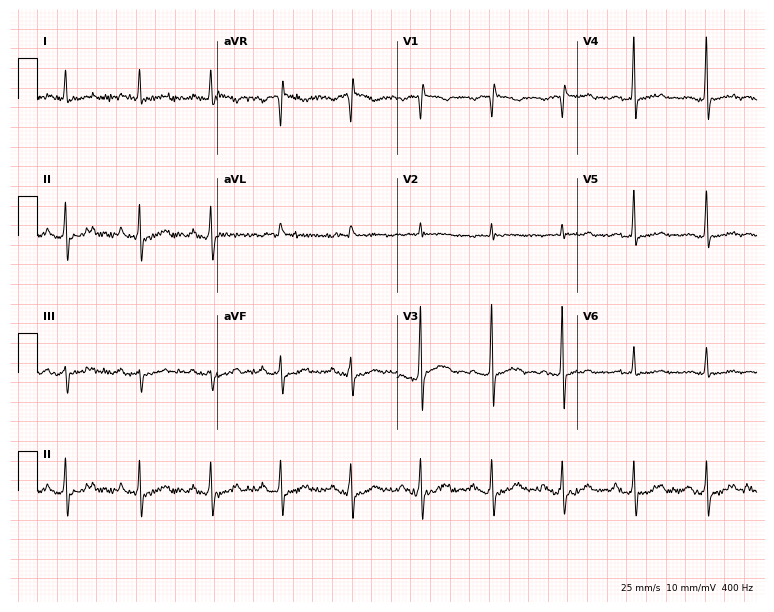
12-lead ECG from a man, 81 years old. Screened for six findings — first-degree AV block, right bundle branch block, left bundle branch block, sinus bradycardia, atrial fibrillation, sinus tachycardia — none is recorded. Findings outside these six are not listed.